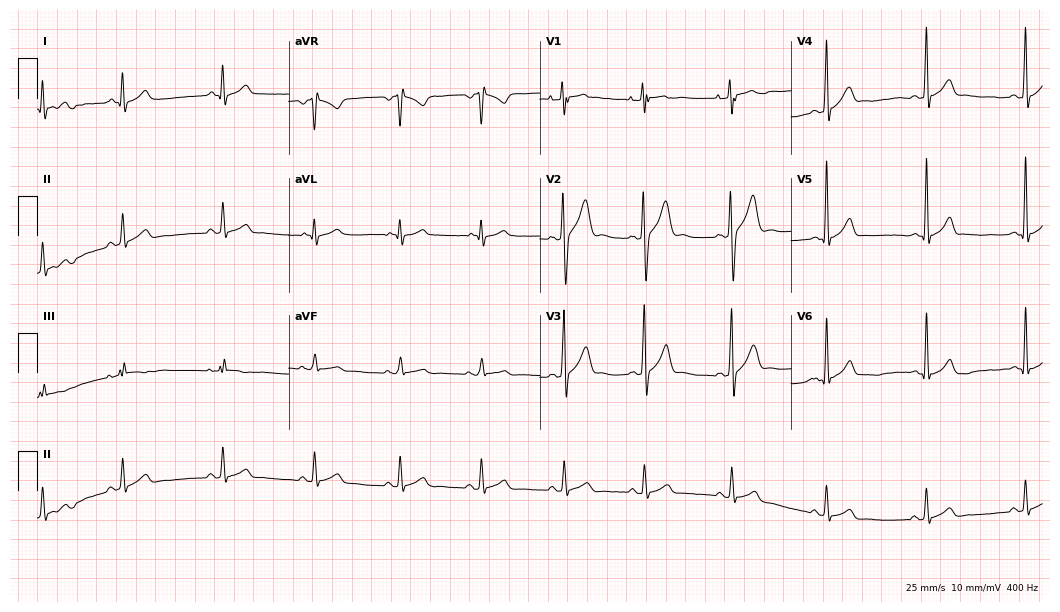
12-lead ECG from a 23-year-old male. Labelled as a normal ECG.